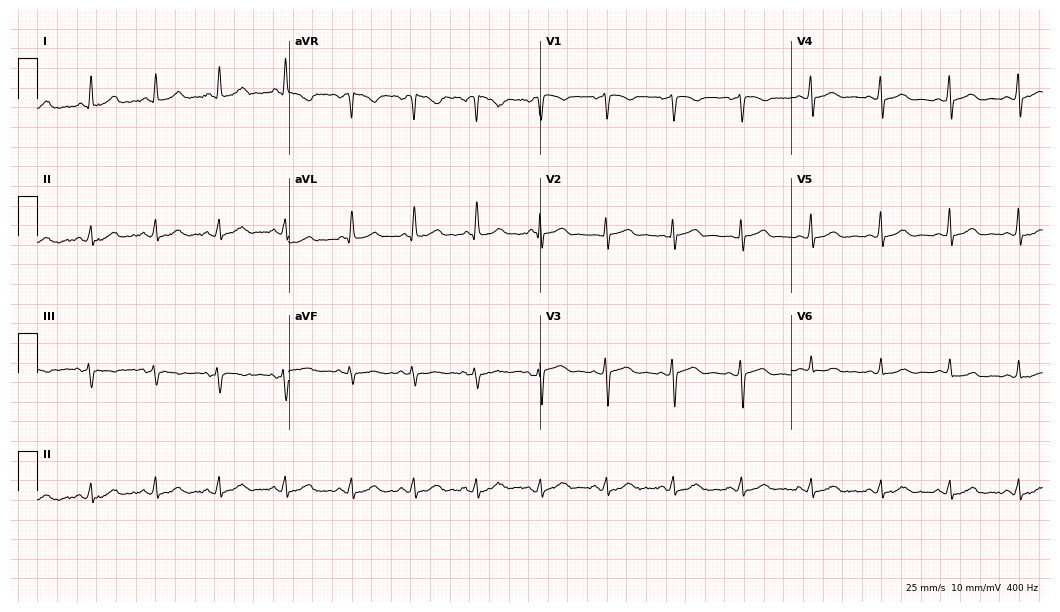
Resting 12-lead electrocardiogram. Patient: a female, 39 years old. Read as a normal ECG.